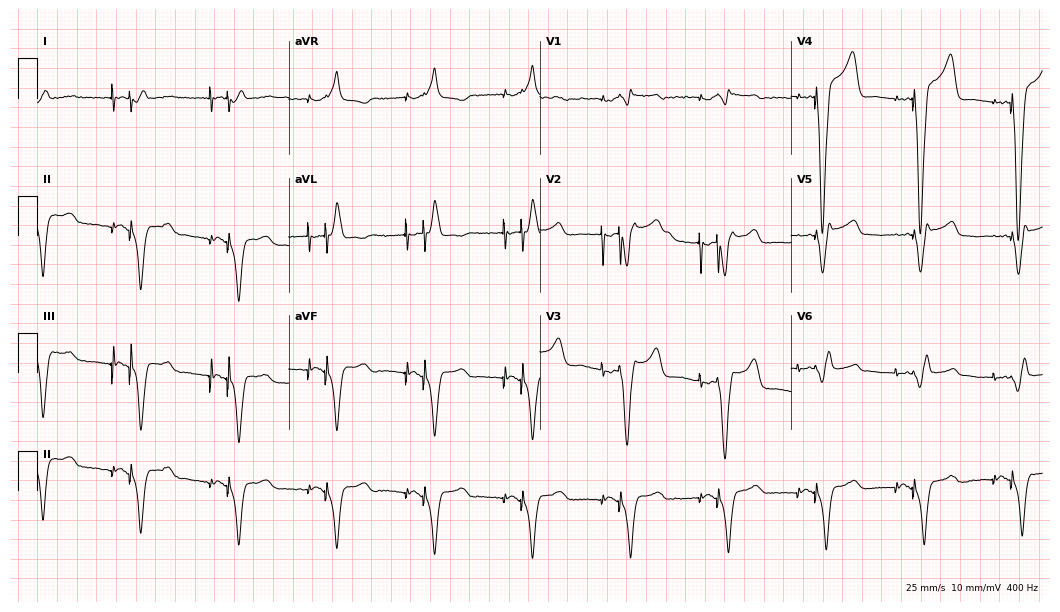
Electrocardiogram (10.2-second recording at 400 Hz), a 60-year-old male patient. Of the six screened findings (first-degree AV block, right bundle branch block, left bundle branch block, sinus bradycardia, atrial fibrillation, sinus tachycardia), none is recorded.